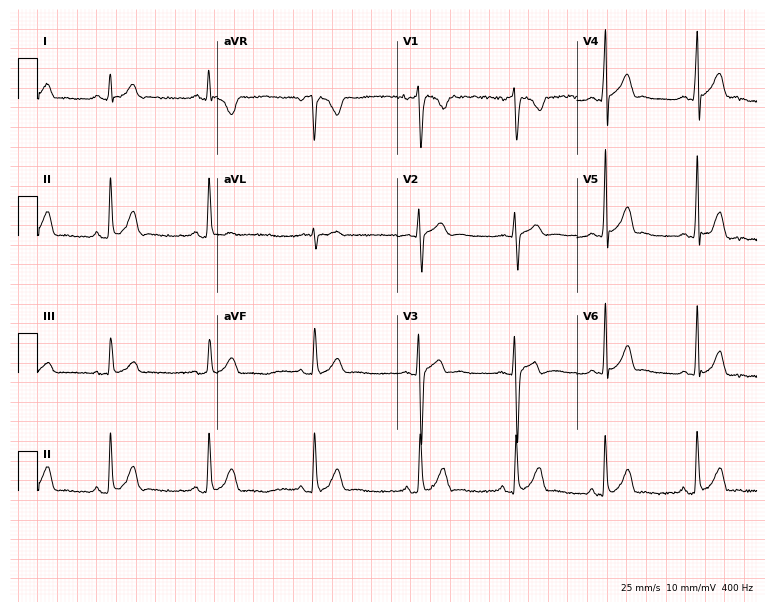
Electrocardiogram (7.3-second recording at 400 Hz), a man, 19 years old. Overall reading on record: normal ECG.